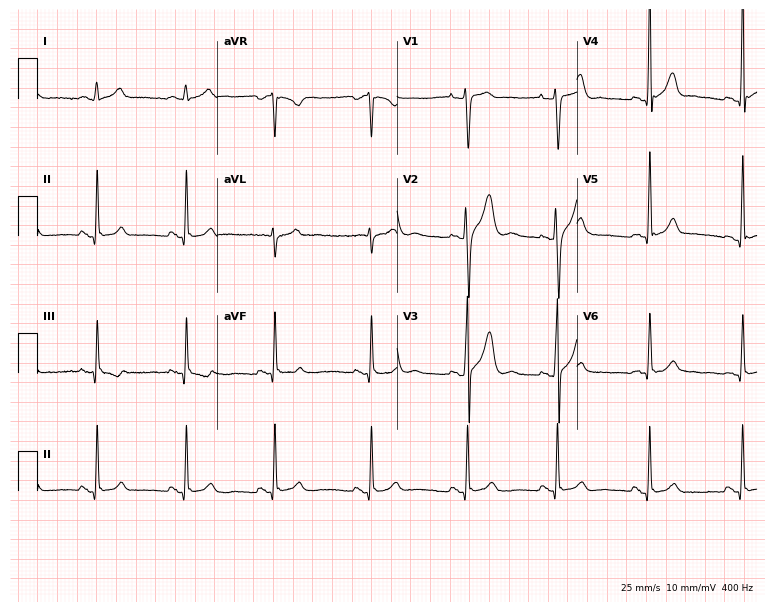
12-lead ECG from a male patient, 34 years old. No first-degree AV block, right bundle branch block, left bundle branch block, sinus bradycardia, atrial fibrillation or sinus tachycardia recorded for this tracing.